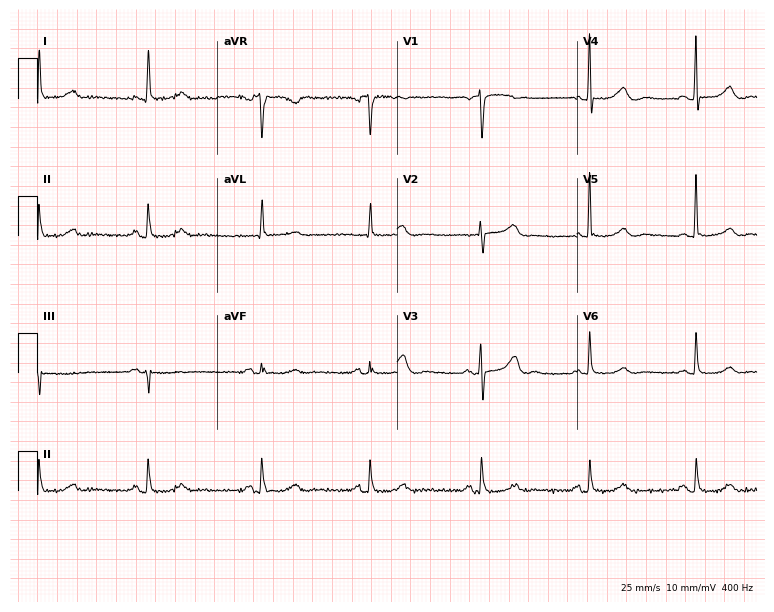
Electrocardiogram (7.3-second recording at 400 Hz), a 72-year-old woman. Overall reading on record: normal ECG.